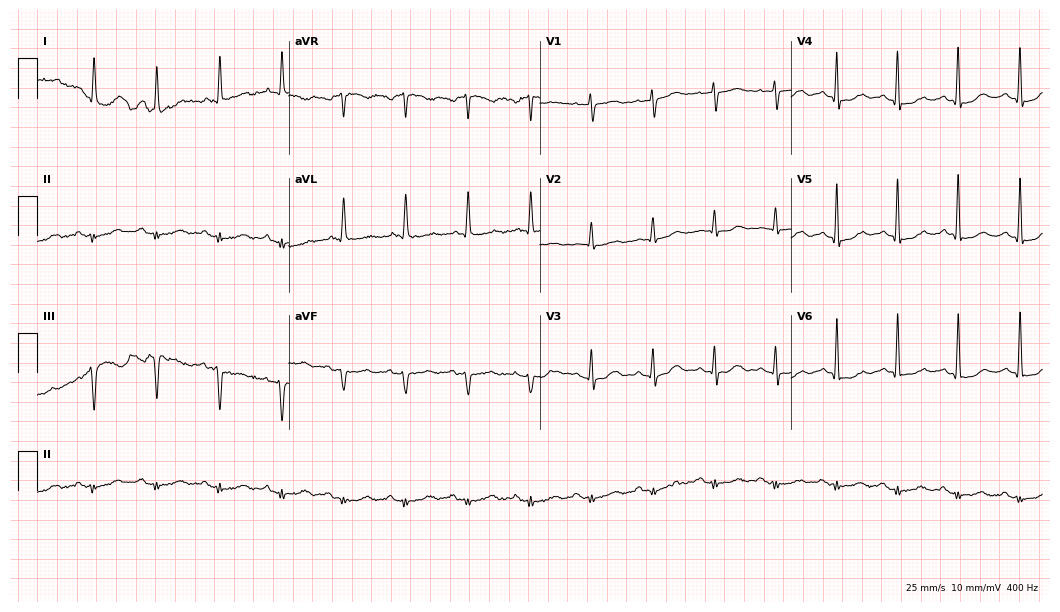
Resting 12-lead electrocardiogram. Patient: a female, 76 years old. None of these six findings is recorded: first-degree AV block, right bundle branch block (RBBB), left bundle branch block (LBBB), sinus bradycardia, atrial fibrillation (AF), sinus tachycardia.